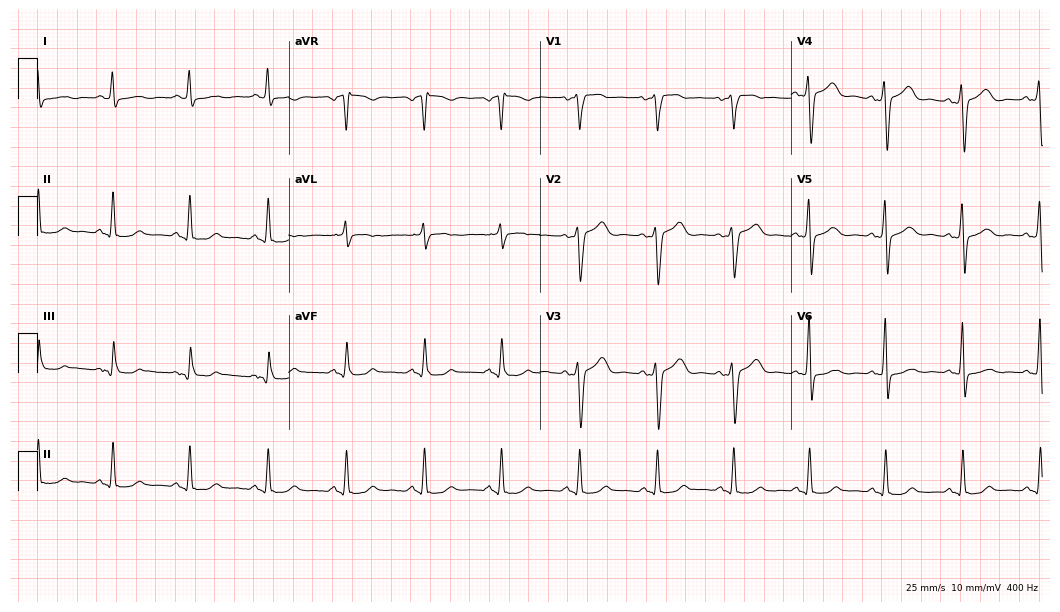
ECG — a female, 53 years old. Screened for six findings — first-degree AV block, right bundle branch block, left bundle branch block, sinus bradycardia, atrial fibrillation, sinus tachycardia — none is recorded.